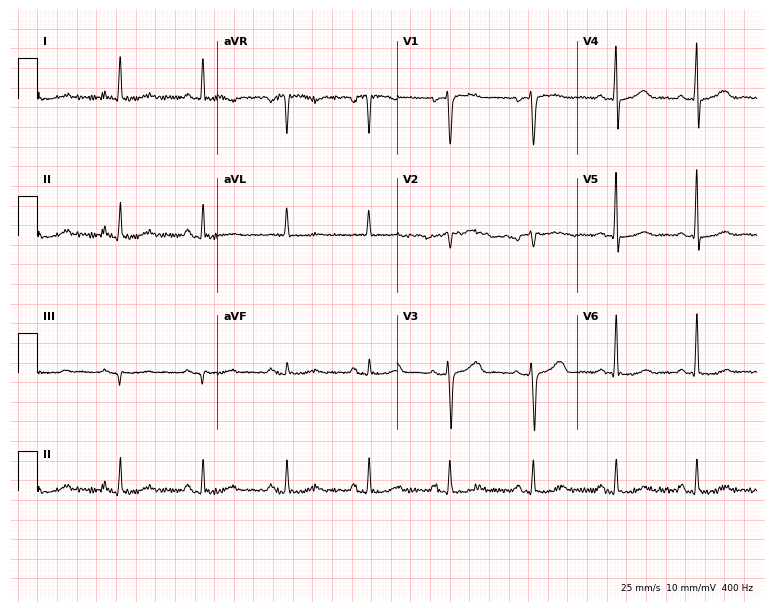
ECG — a female, 63 years old. Labelled as a normal ECG.